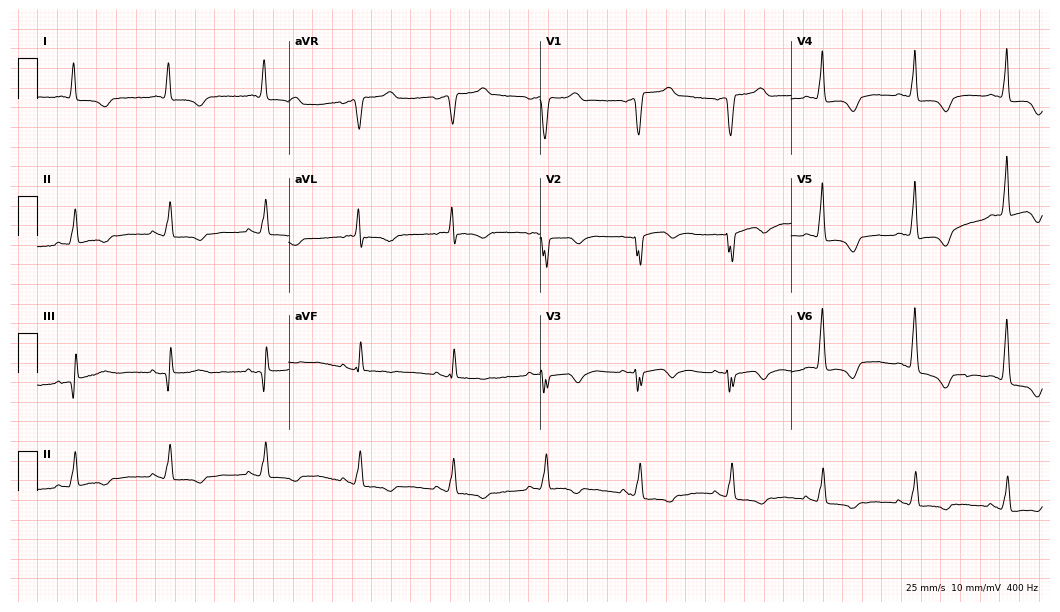
12-lead ECG from an 85-year-old female. No first-degree AV block, right bundle branch block (RBBB), left bundle branch block (LBBB), sinus bradycardia, atrial fibrillation (AF) or sinus tachycardia recorded for this tracing.